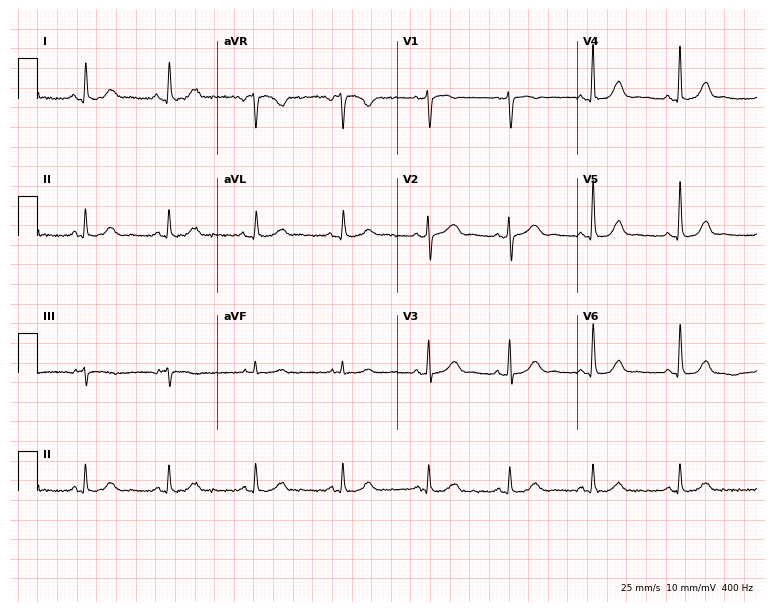
Electrocardiogram, a 58-year-old female. Overall reading on record: normal ECG.